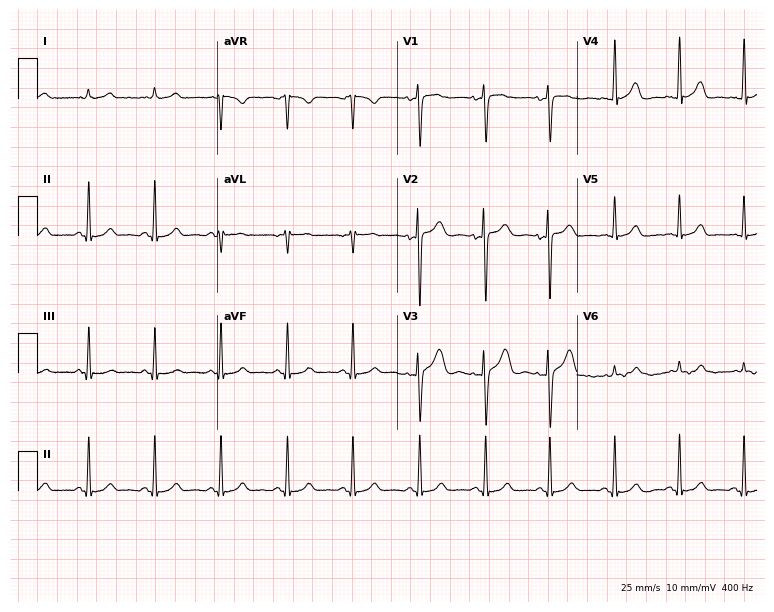
Resting 12-lead electrocardiogram (7.3-second recording at 400 Hz). Patient: a female, 20 years old. Read as a normal ECG.